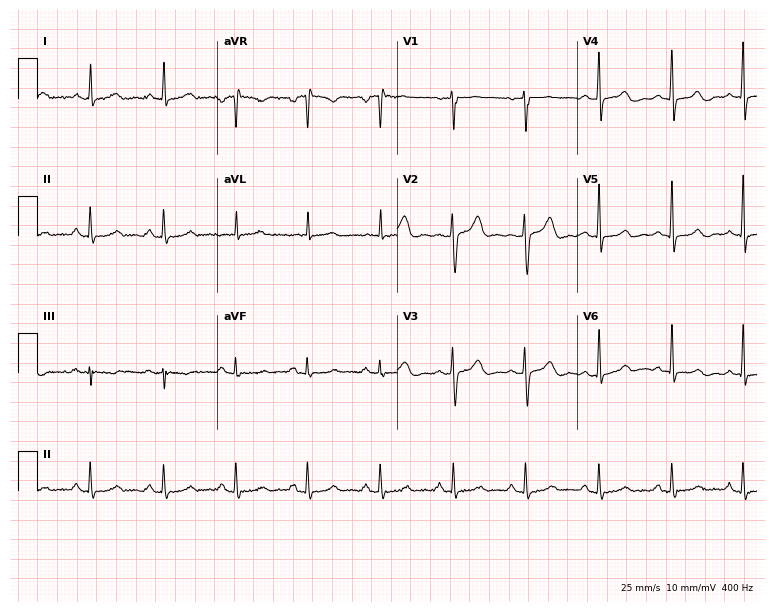
Resting 12-lead electrocardiogram. Patient: a 44-year-old woman. Read as a normal ECG.